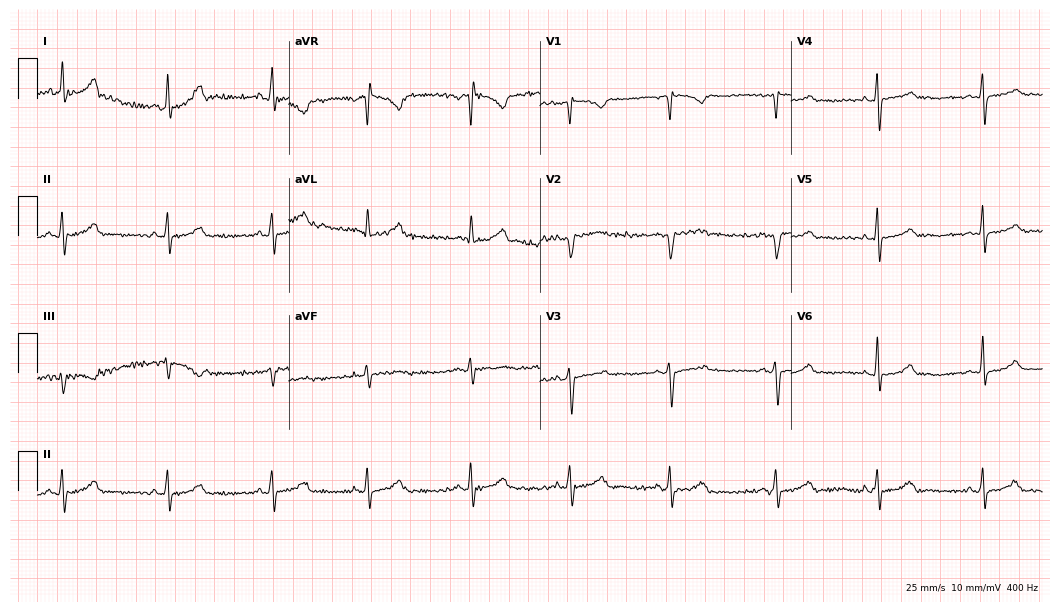
Resting 12-lead electrocardiogram (10.2-second recording at 400 Hz). Patient: a 25-year-old woman. Read as a normal ECG.